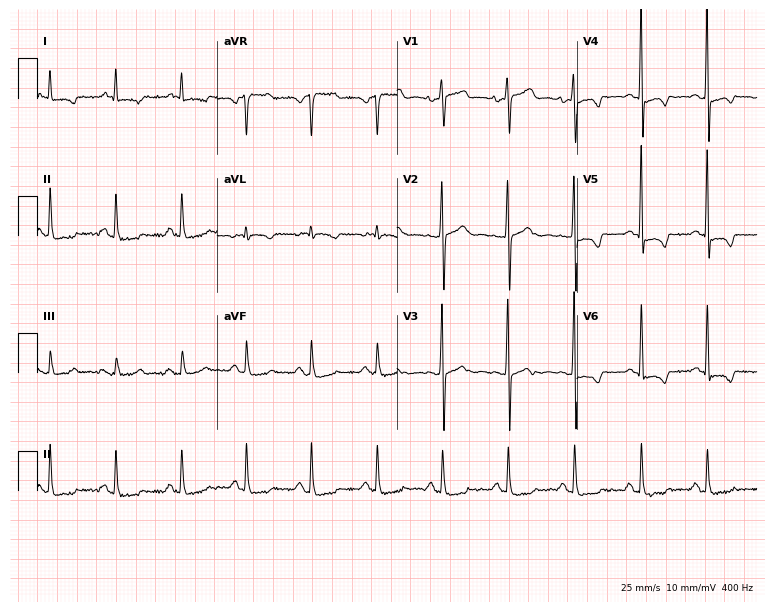
12-lead ECG from a male patient, 71 years old. Screened for six findings — first-degree AV block, right bundle branch block, left bundle branch block, sinus bradycardia, atrial fibrillation, sinus tachycardia — none is recorded.